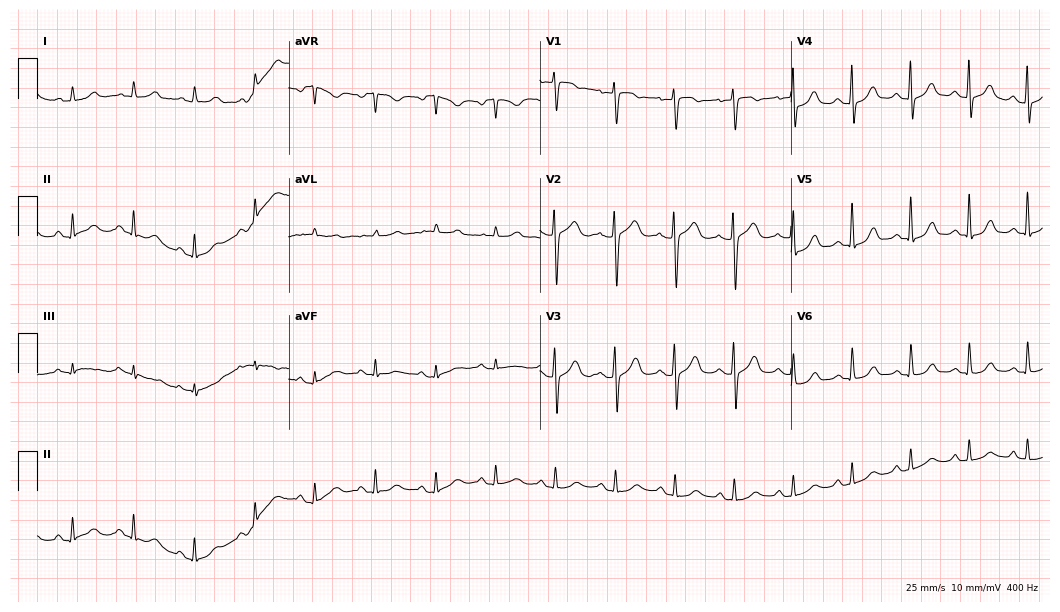
ECG — an 80-year-old female. Screened for six findings — first-degree AV block, right bundle branch block (RBBB), left bundle branch block (LBBB), sinus bradycardia, atrial fibrillation (AF), sinus tachycardia — none is recorded.